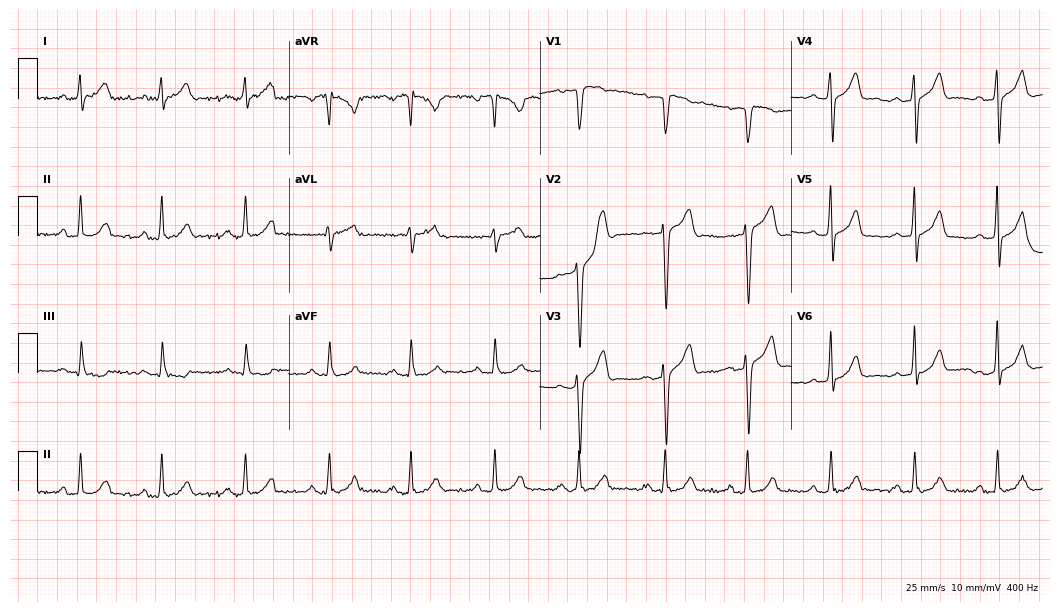
Standard 12-lead ECG recorded from a 44-year-old man (10.2-second recording at 400 Hz). None of these six findings is recorded: first-degree AV block, right bundle branch block (RBBB), left bundle branch block (LBBB), sinus bradycardia, atrial fibrillation (AF), sinus tachycardia. Findings outside these six are not listed.